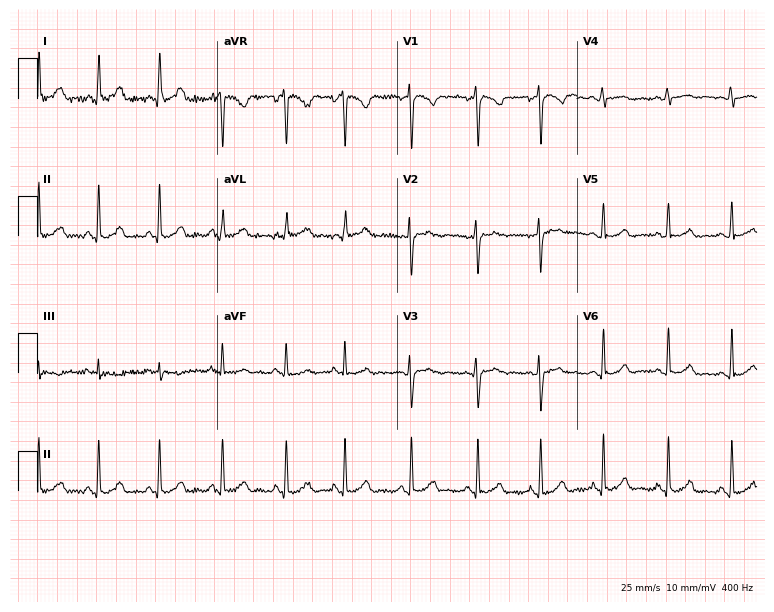
Resting 12-lead electrocardiogram (7.3-second recording at 400 Hz). Patient: a female, 25 years old. Read as a normal ECG.